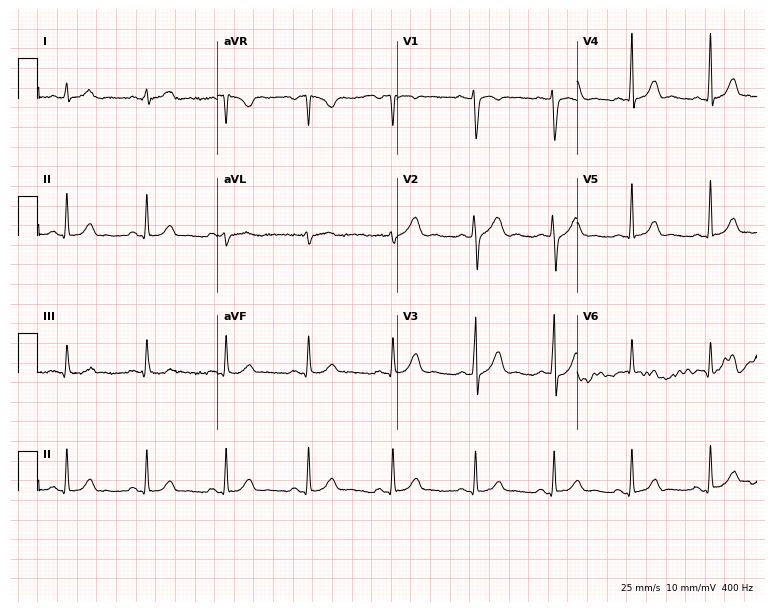
Resting 12-lead electrocardiogram. Patient: a 26-year-old female. None of these six findings is recorded: first-degree AV block, right bundle branch block (RBBB), left bundle branch block (LBBB), sinus bradycardia, atrial fibrillation (AF), sinus tachycardia.